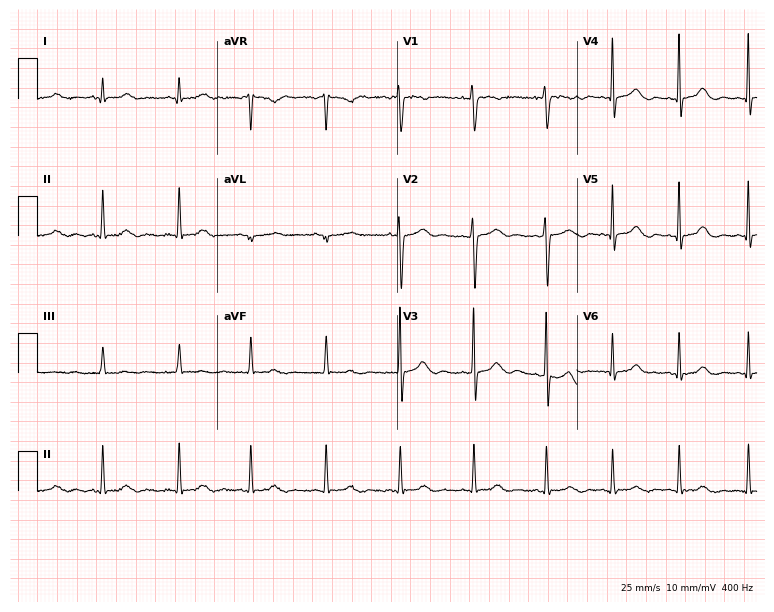
Electrocardiogram, a woman, 29 years old. Overall reading on record: normal ECG.